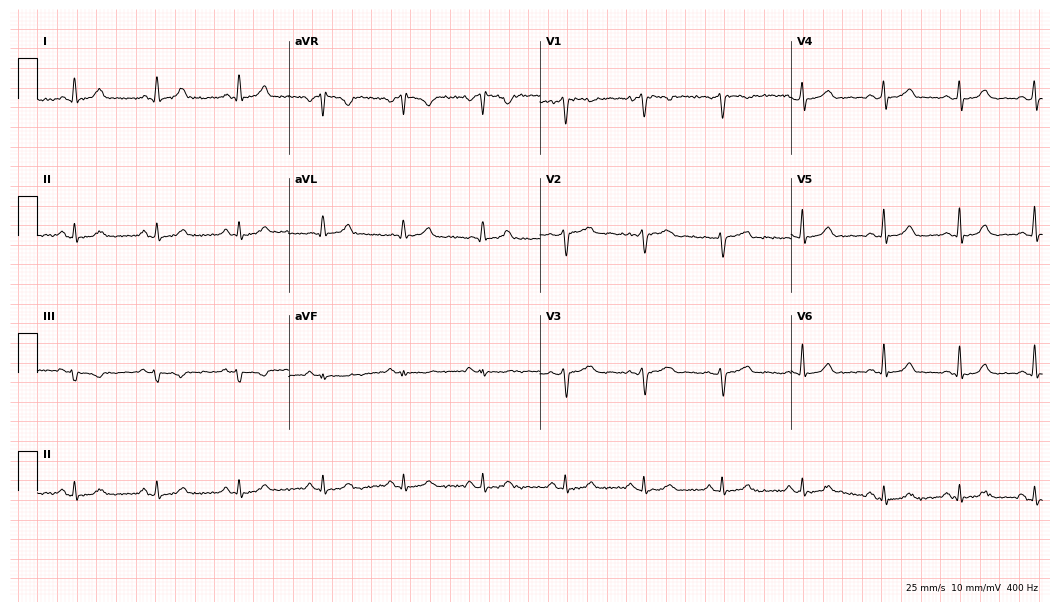
Resting 12-lead electrocardiogram (10.2-second recording at 400 Hz). Patient: a 24-year-old female. None of these six findings is recorded: first-degree AV block, right bundle branch block, left bundle branch block, sinus bradycardia, atrial fibrillation, sinus tachycardia. Findings outside these six are not listed.